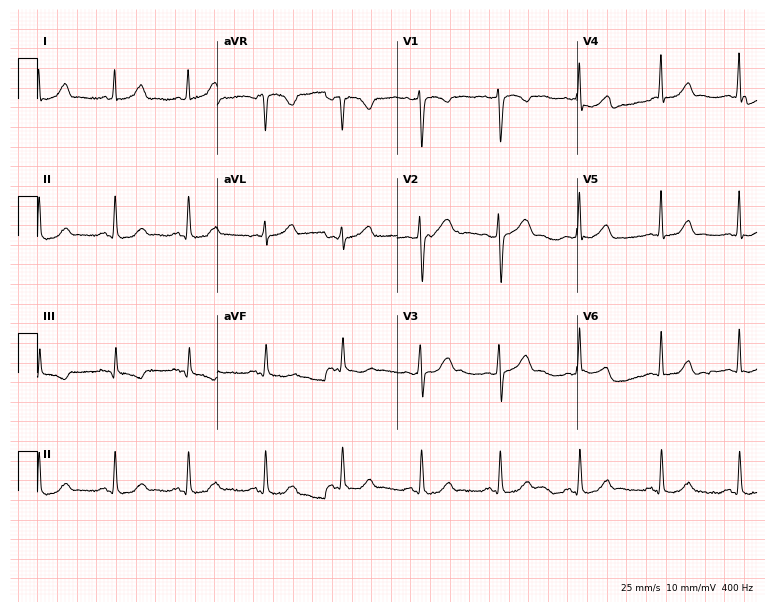
12-lead ECG from a 27-year-old female patient. Screened for six findings — first-degree AV block, right bundle branch block, left bundle branch block, sinus bradycardia, atrial fibrillation, sinus tachycardia — none is recorded. Findings outside these six are not listed.